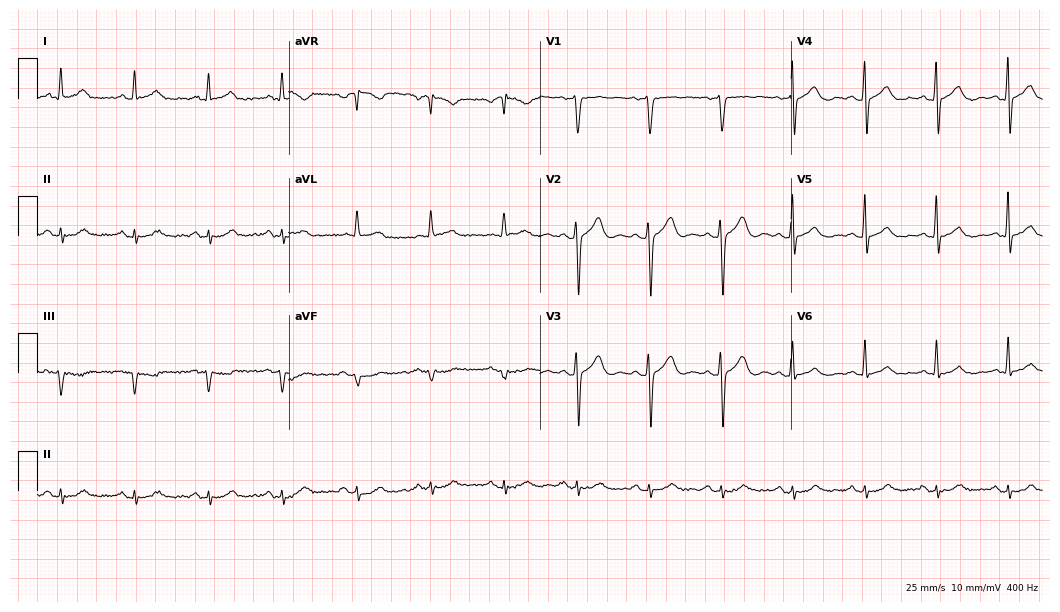
Standard 12-lead ECG recorded from a 25-year-old male (10.2-second recording at 400 Hz). Read as a normal ECG.